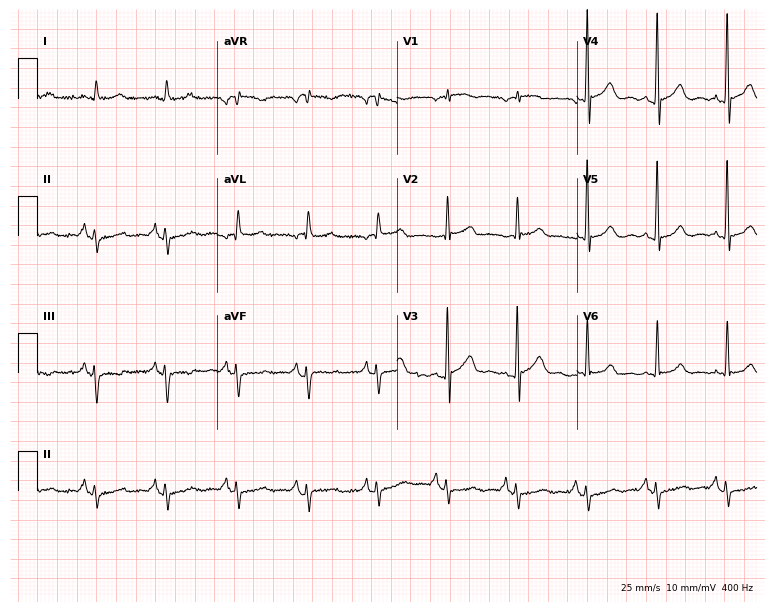
Resting 12-lead electrocardiogram (7.3-second recording at 400 Hz). Patient: a 67-year-old man. None of these six findings is recorded: first-degree AV block, right bundle branch block, left bundle branch block, sinus bradycardia, atrial fibrillation, sinus tachycardia.